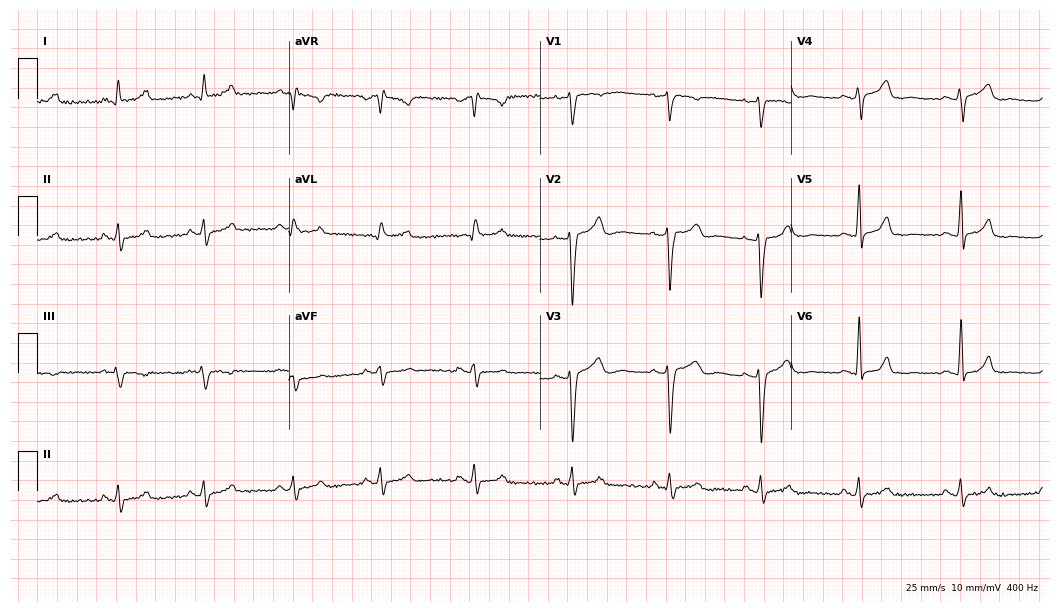
Resting 12-lead electrocardiogram (10.2-second recording at 400 Hz). Patient: a female, 33 years old. None of these six findings is recorded: first-degree AV block, right bundle branch block, left bundle branch block, sinus bradycardia, atrial fibrillation, sinus tachycardia.